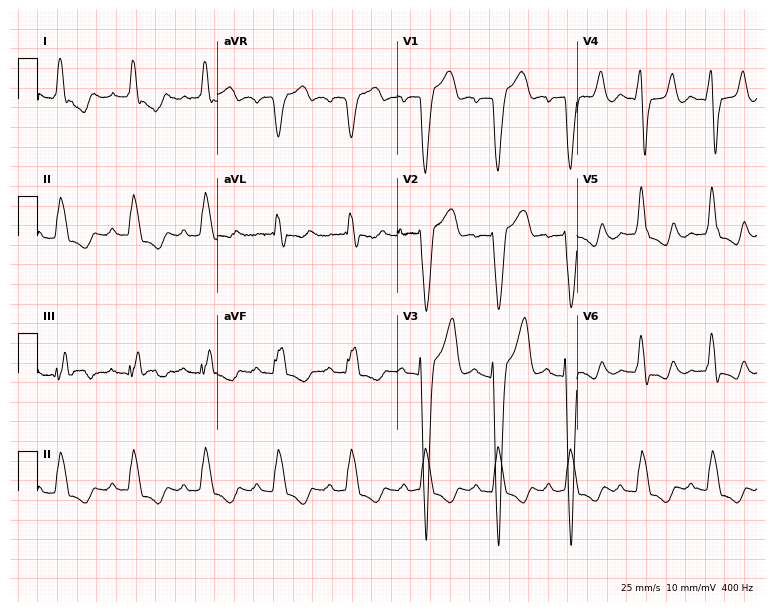
12-lead ECG from a 69-year-old male (7.3-second recording at 400 Hz). No first-degree AV block, right bundle branch block, left bundle branch block, sinus bradycardia, atrial fibrillation or sinus tachycardia recorded for this tracing.